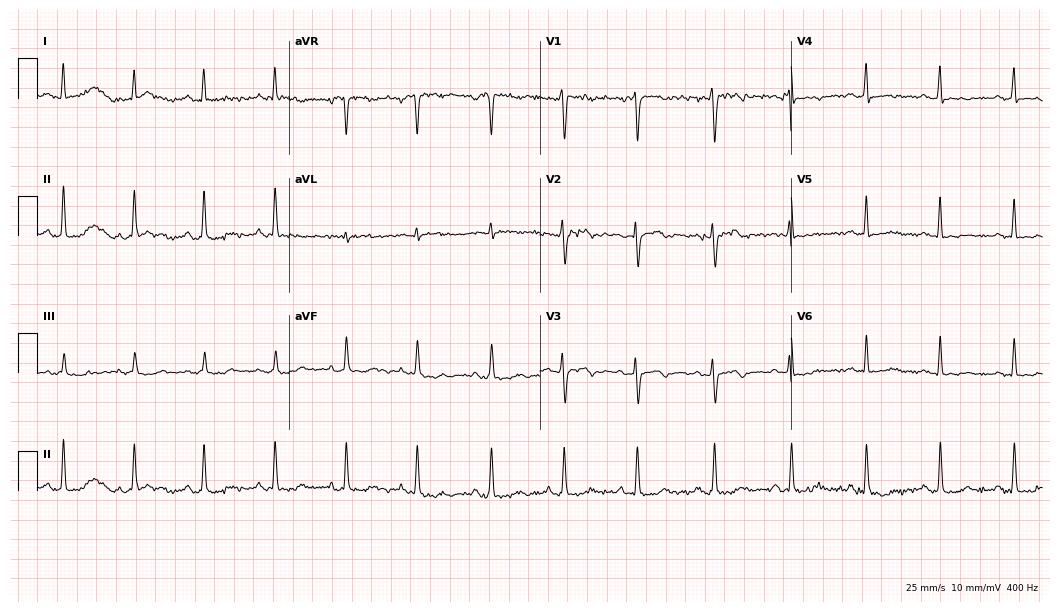
ECG (10.2-second recording at 400 Hz) — a 40-year-old woman. Labelled as a normal ECG.